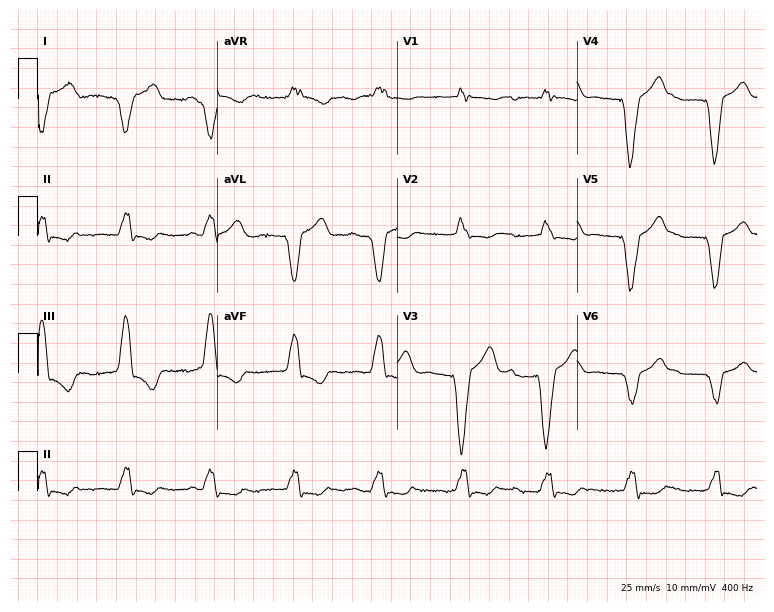
Resting 12-lead electrocardiogram (7.3-second recording at 400 Hz). Patient: a male, 65 years old. None of these six findings is recorded: first-degree AV block, right bundle branch block (RBBB), left bundle branch block (LBBB), sinus bradycardia, atrial fibrillation (AF), sinus tachycardia.